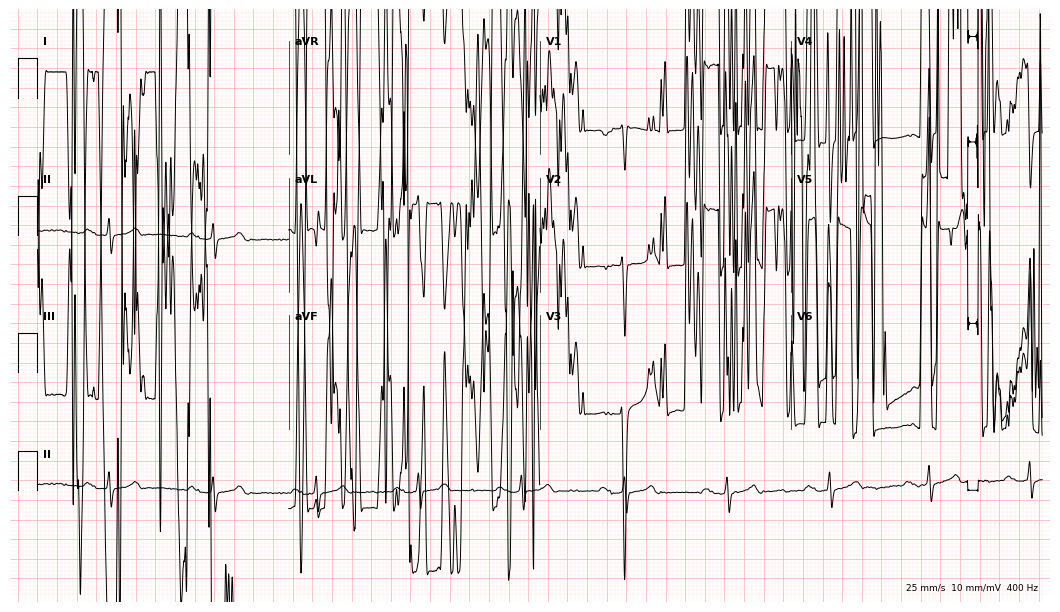
Standard 12-lead ECG recorded from a 71-year-old male patient. None of these six findings is recorded: first-degree AV block, right bundle branch block, left bundle branch block, sinus bradycardia, atrial fibrillation, sinus tachycardia.